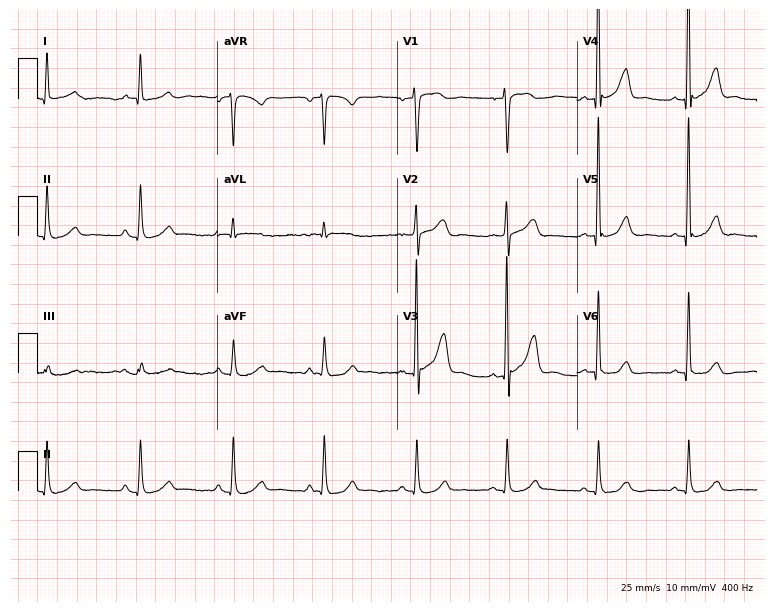
12-lead ECG from a 75-year-old male patient. Labelled as a normal ECG.